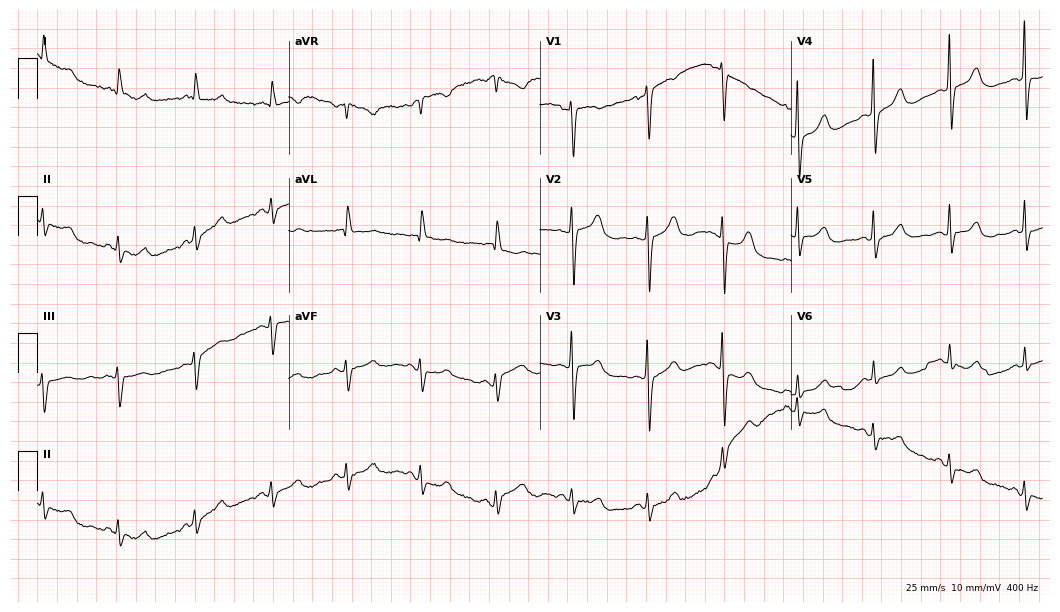
Standard 12-lead ECG recorded from a 69-year-old female. None of these six findings is recorded: first-degree AV block, right bundle branch block, left bundle branch block, sinus bradycardia, atrial fibrillation, sinus tachycardia.